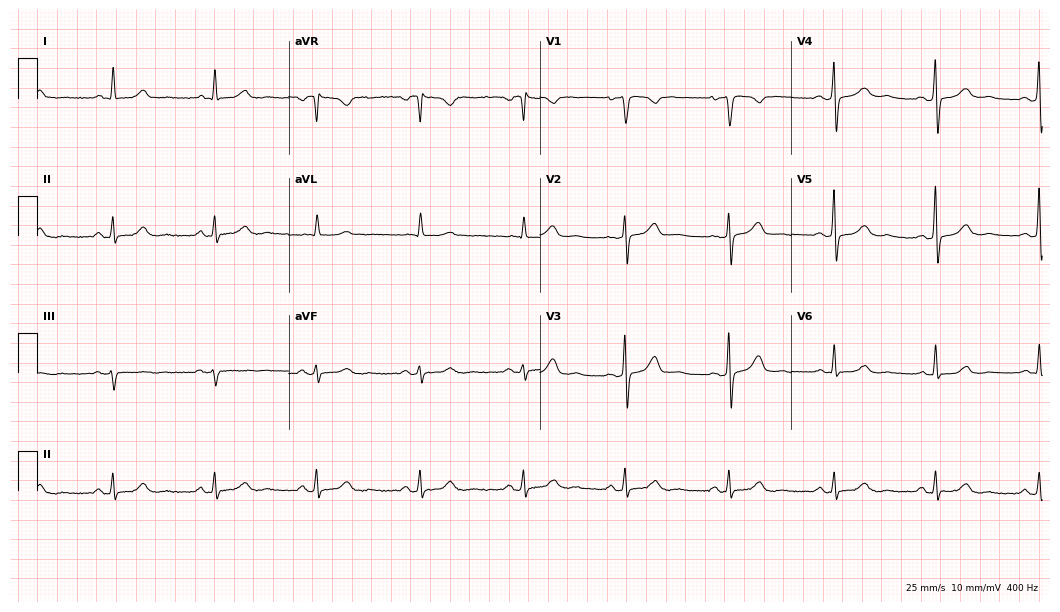
ECG — a female, 64 years old. Screened for six findings — first-degree AV block, right bundle branch block (RBBB), left bundle branch block (LBBB), sinus bradycardia, atrial fibrillation (AF), sinus tachycardia — none is recorded. Findings outside these six are not listed.